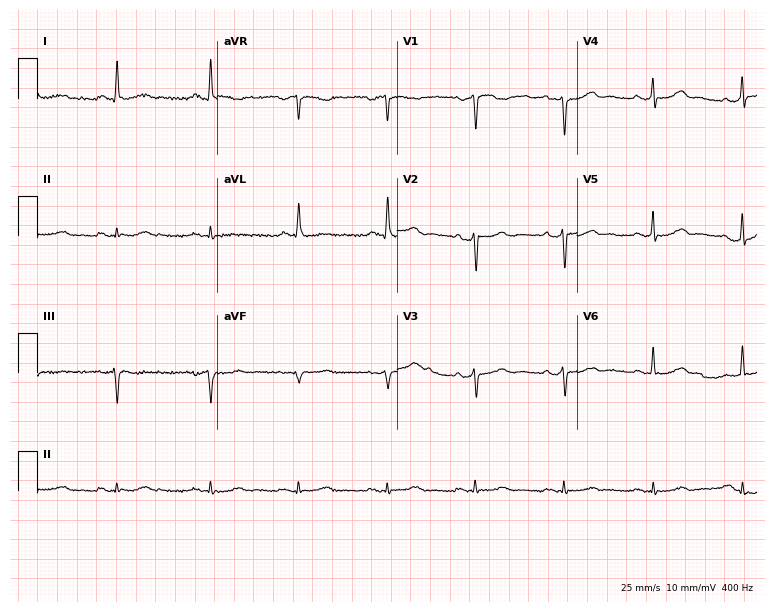
12-lead ECG from a man, 65 years old. Recorded interpretation: within normal limits.